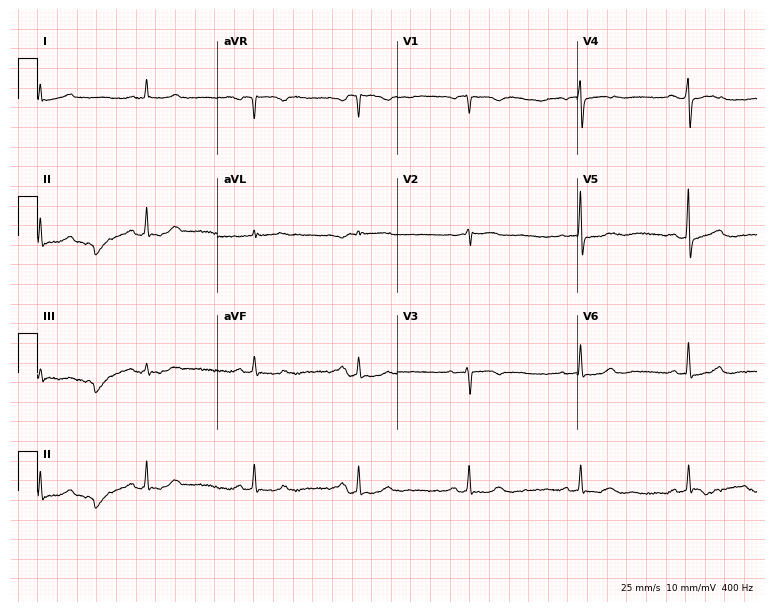
Resting 12-lead electrocardiogram. Patient: a 69-year-old female. Read as a normal ECG.